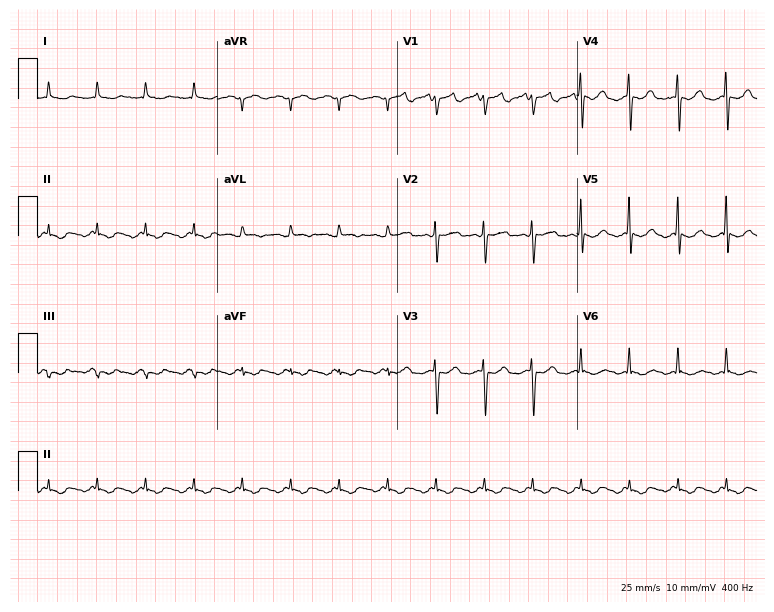
Standard 12-lead ECG recorded from a female, 84 years old. None of these six findings is recorded: first-degree AV block, right bundle branch block, left bundle branch block, sinus bradycardia, atrial fibrillation, sinus tachycardia. Findings outside these six are not listed.